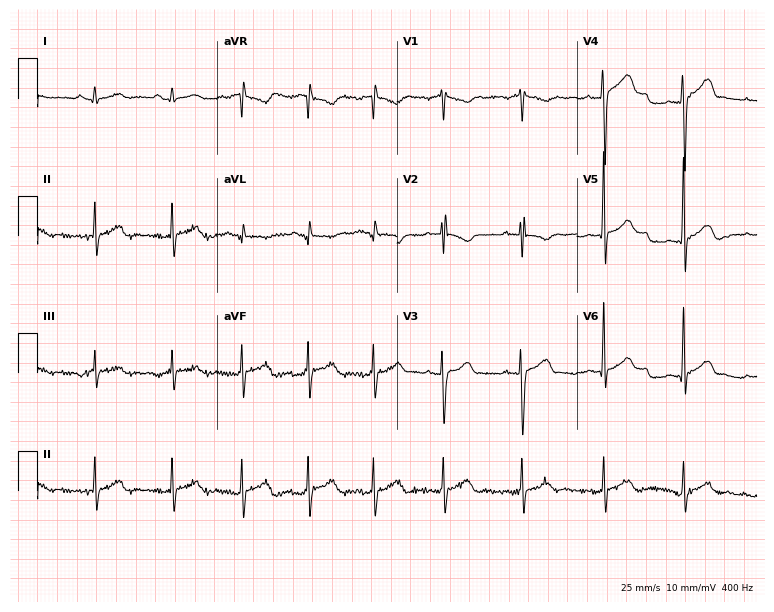
Electrocardiogram, a man, 20 years old. Overall reading on record: normal ECG.